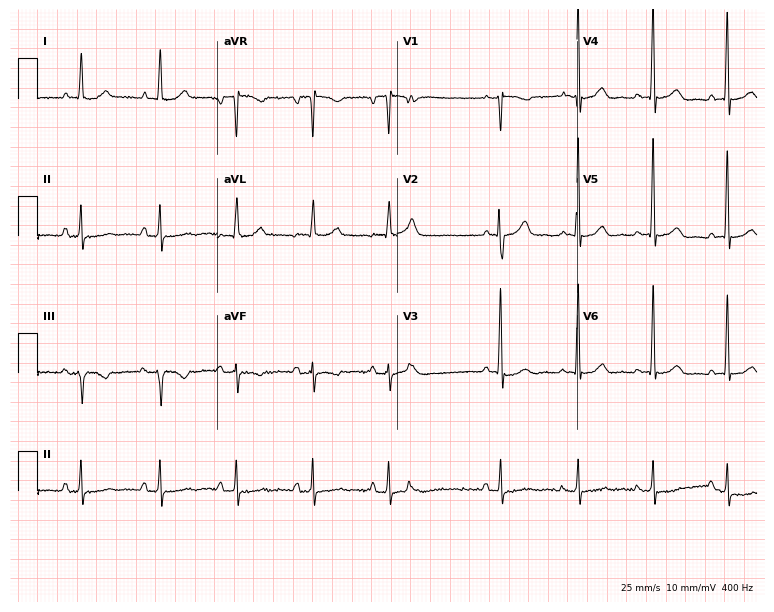
12-lead ECG from a male patient, 78 years old (7.3-second recording at 400 Hz). No first-degree AV block, right bundle branch block, left bundle branch block, sinus bradycardia, atrial fibrillation or sinus tachycardia recorded for this tracing. Findings outside these six are not listed.